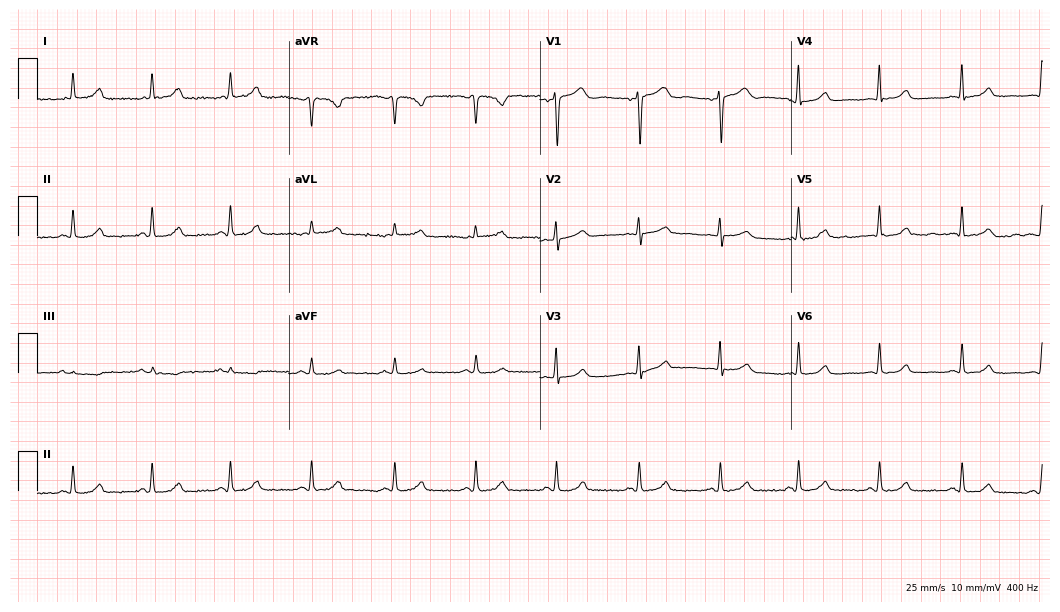
12-lead ECG (10.2-second recording at 400 Hz) from a woman, 70 years old. Screened for six findings — first-degree AV block, right bundle branch block, left bundle branch block, sinus bradycardia, atrial fibrillation, sinus tachycardia — none is recorded. Other findings, if any, are not listed.